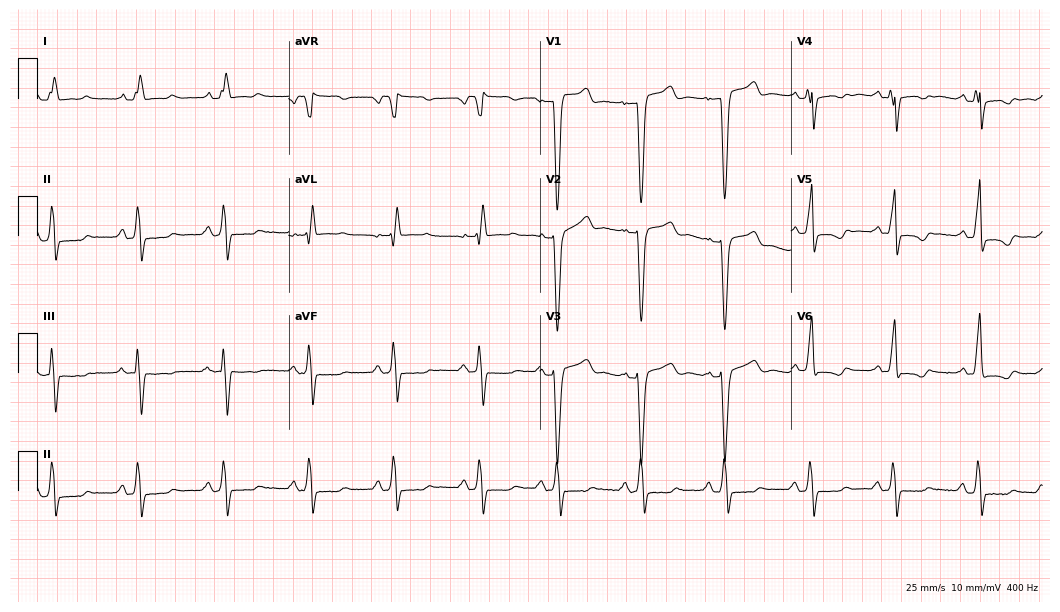
Resting 12-lead electrocardiogram. Patient: a female, 82 years old. The tracing shows left bundle branch block.